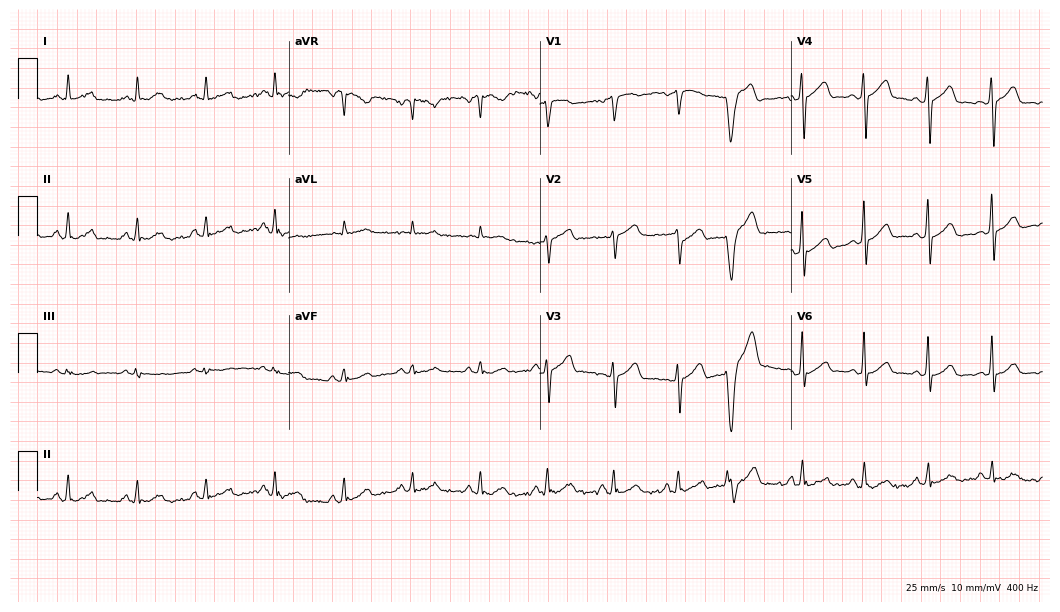
12-lead ECG (10.2-second recording at 400 Hz) from a male, 60 years old. Screened for six findings — first-degree AV block, right bundle branch block (RBBB), left bundle branch block (LBBB), sinus bradycardia, atrial fibrillation (AF), sinus tachycardia — none is recorded.